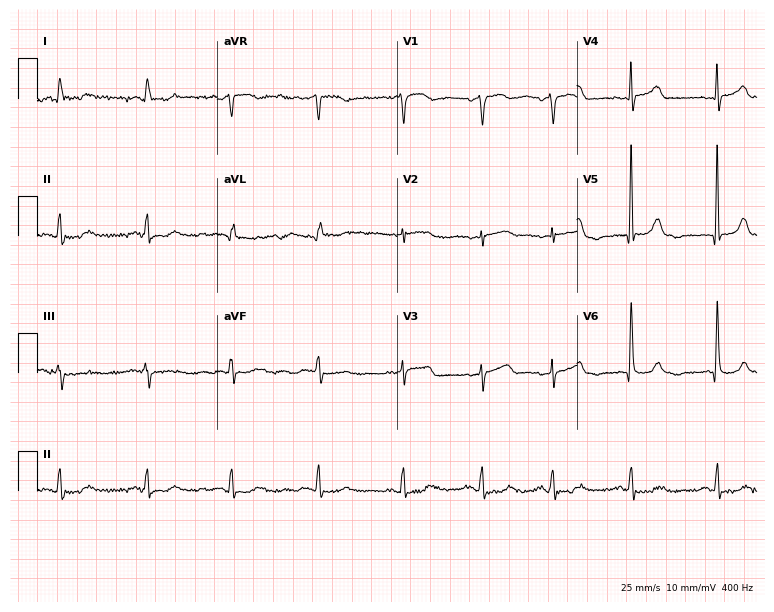
Standard 12-lead ECG recorded from a male, 63 years old. Read as a normal ECG.